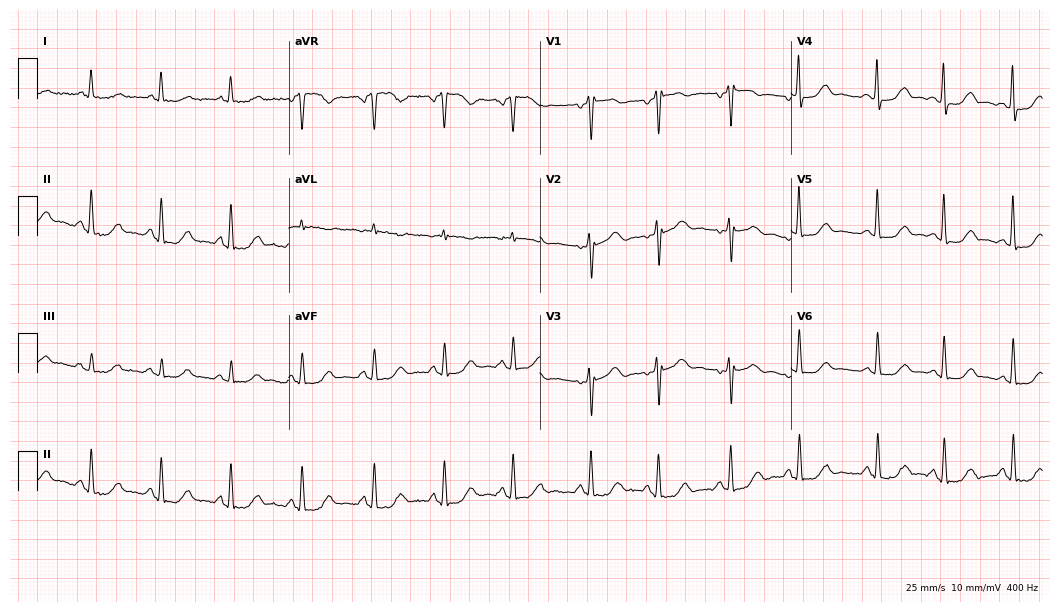
Resting 12-lead electrocardiogram. Patient: a 71-year-old female. Read as a normal ECG.